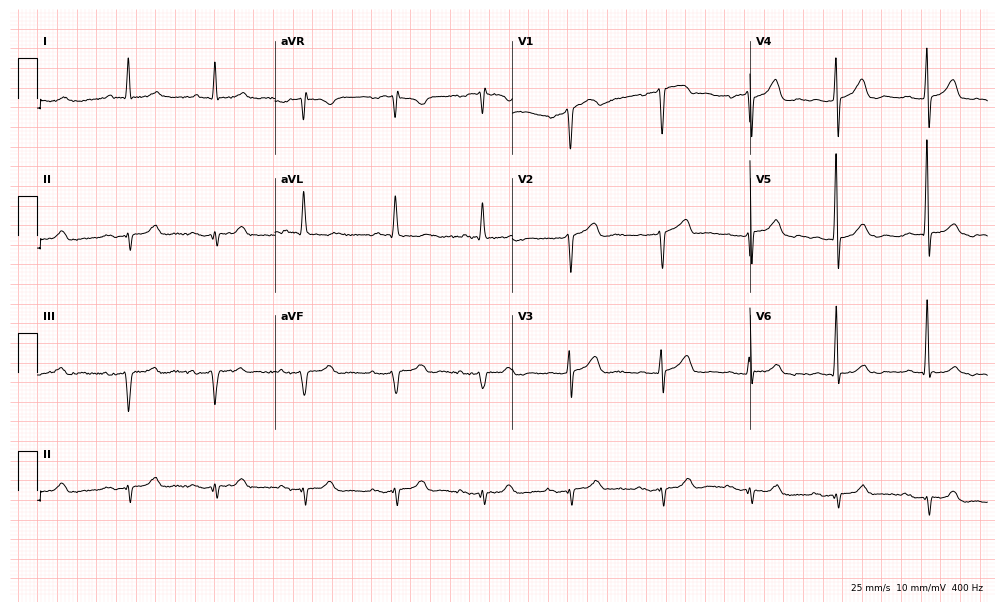
Standard 12-lead ECG recorded from an 85-year-old male. None of these six findings is recorded: first-degree AV block, right bundle branch block (RBBB), left bundle branch block (LBBB), sinus bradycardia, atrial fibrillation (AF), sinus tachycardia. Only these six findings were labelled.